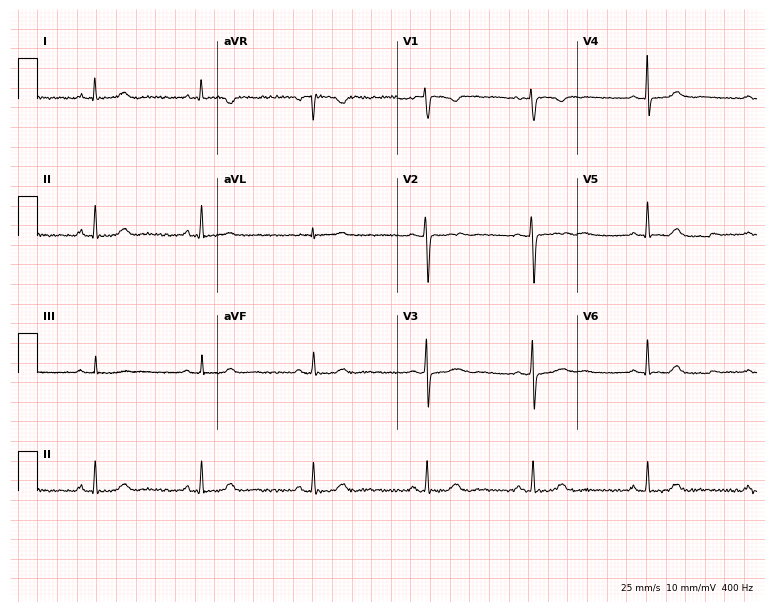
Electrocardiogram, a 49-year-old woman. Of the six screened findings (first-degree AV block, right bundle branch block, left bundle branch block, sinus bradycardia, atrial fibrillation, sinus tachycardia), none is recorded. Only these six findings were labelled.